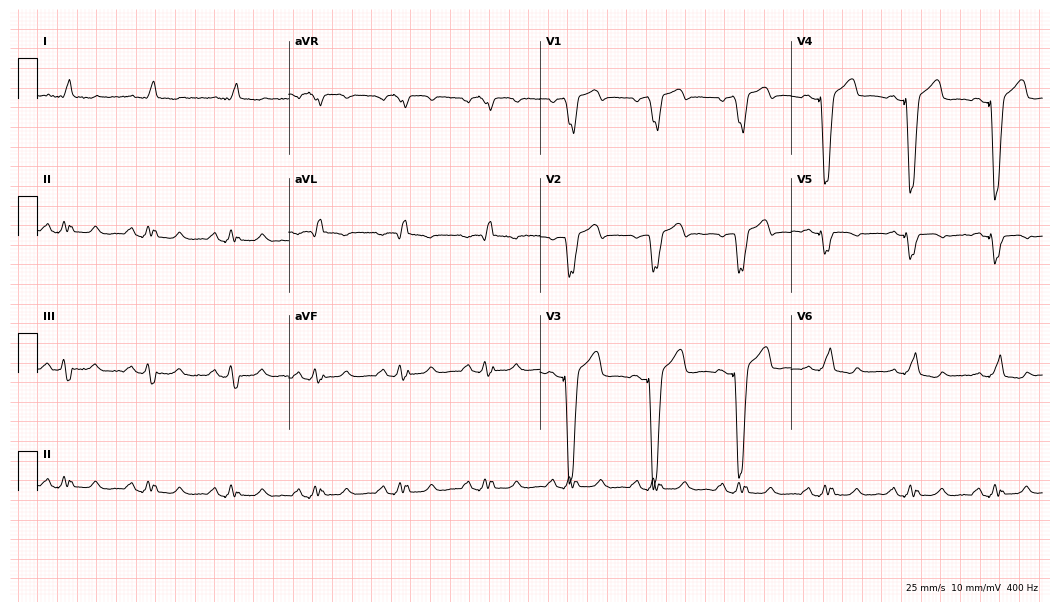
ECG (10.2-second recording at 400 Hz) — a 68-year-old male. Findings include left bundle branch block.